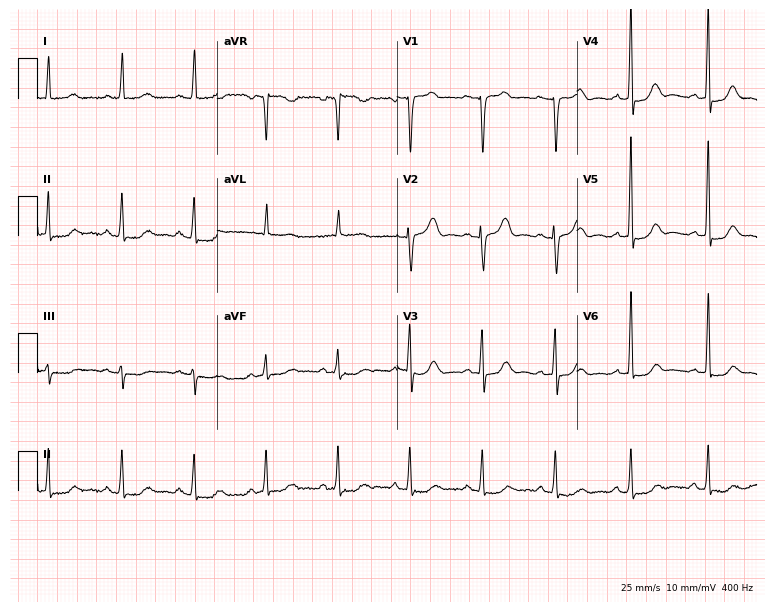
12-lead ECG from a female, 76 years old. Recorded interpretation: within normal limits.